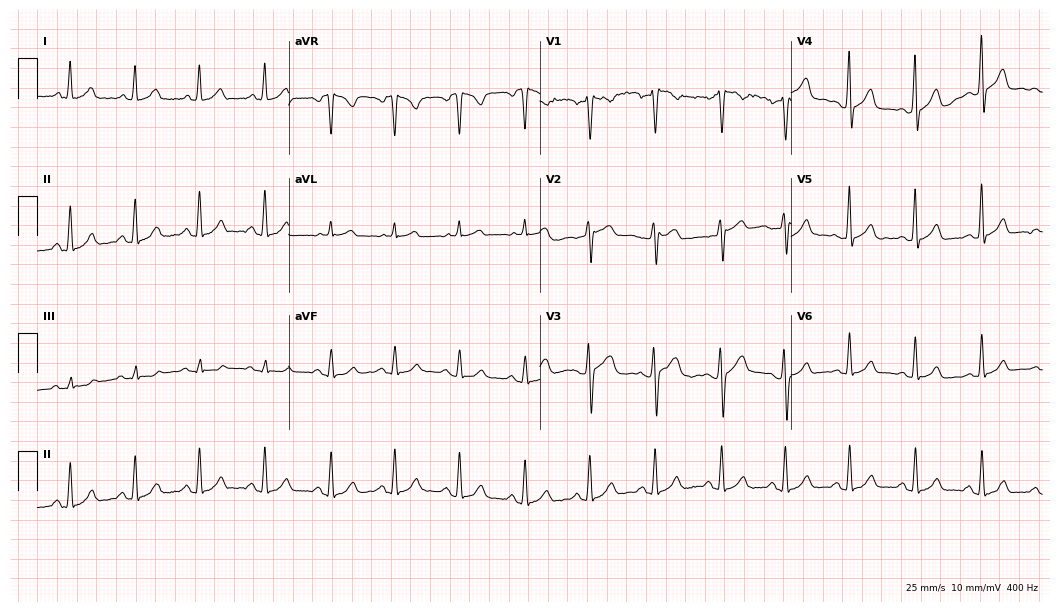
12-lead ECG from a female, 40 years old. Labelled as a normal ECG.